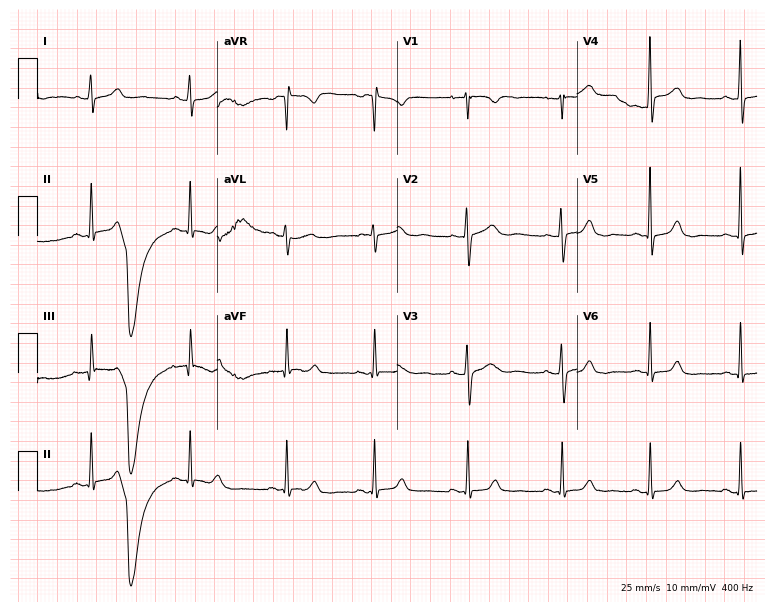
Resting 12-lead electrocardiogram. Patient: a woman, 26 years old. None of these six findings is recorded: first-degree AV block, right bundle branch block, left bundle branch block, sinus bradycardia, atrial fibrillation, sinus tachycardia. Other findings, if any, are not listed.